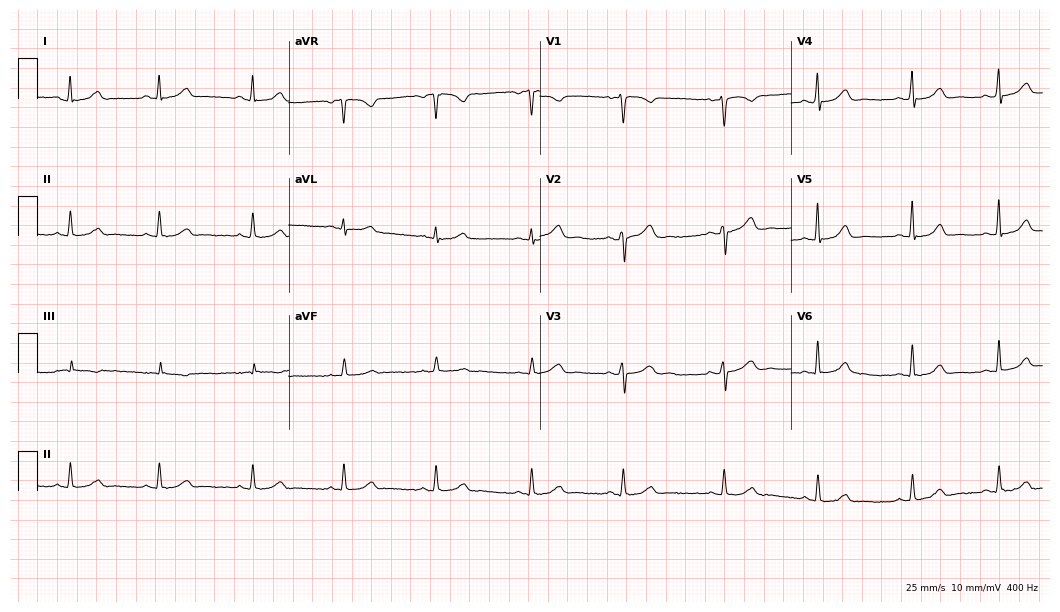
Resting 12-lead electrocardiogram. Patient: a woman, 41 years old. Read as a normal ECG.